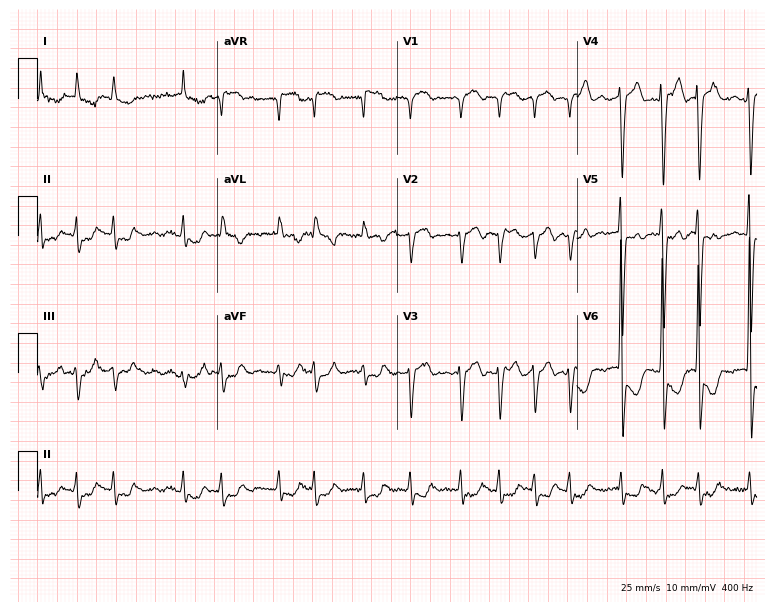
Standard 12-lead ECG recorded from an 85-year-old man (7.3-second recording at 400 Hz). The tracing shows atrial fibrillation.